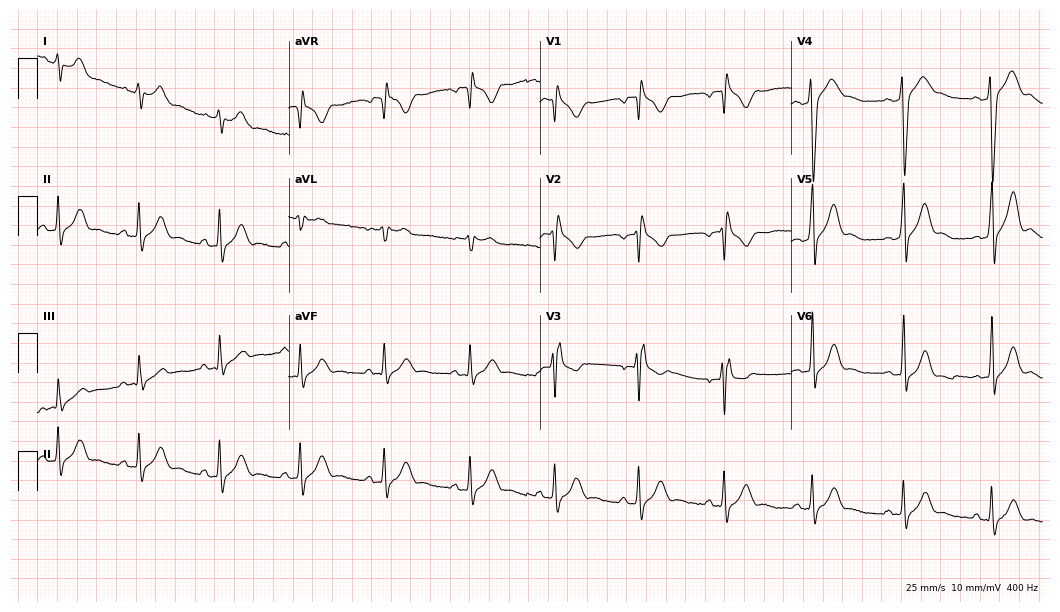
12-lead ECG from a 23-year-old man (10.2-second recording at 400 Hz). No first-degree AV block, right bundle branch block (RBBB), left bundle branch block (LBBB), sinus bradycardia, atrial fibrillation (AF) or sinus tachycardia recorded for this tracing. Only these six findings were labelled.